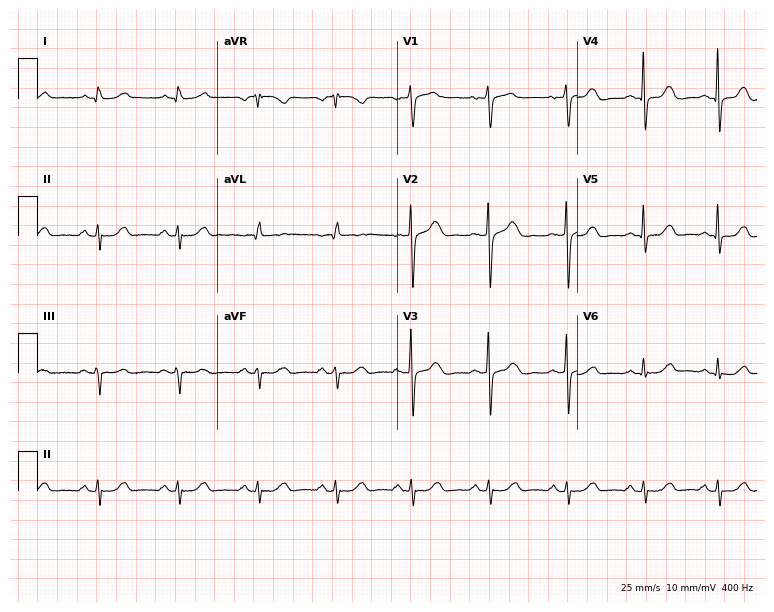
Standard 12-lead ECG recorded from a 61-year-old woman. Read as a normal ECG.